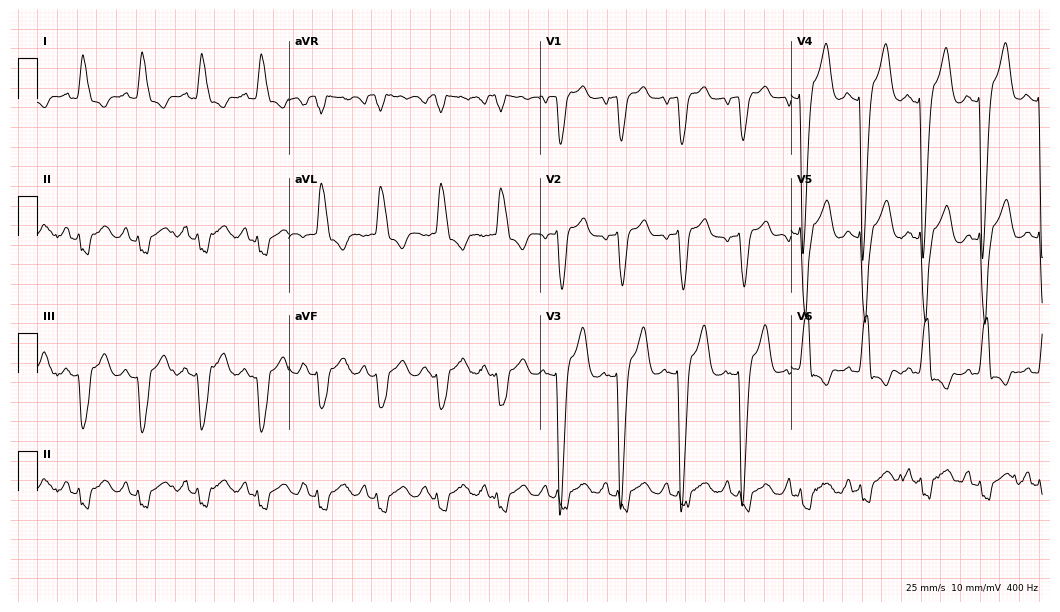
ECG (10.2-second recording at 400 Hz) — a 50-year-old woman. Findings include left bundle branch block (LBBB).